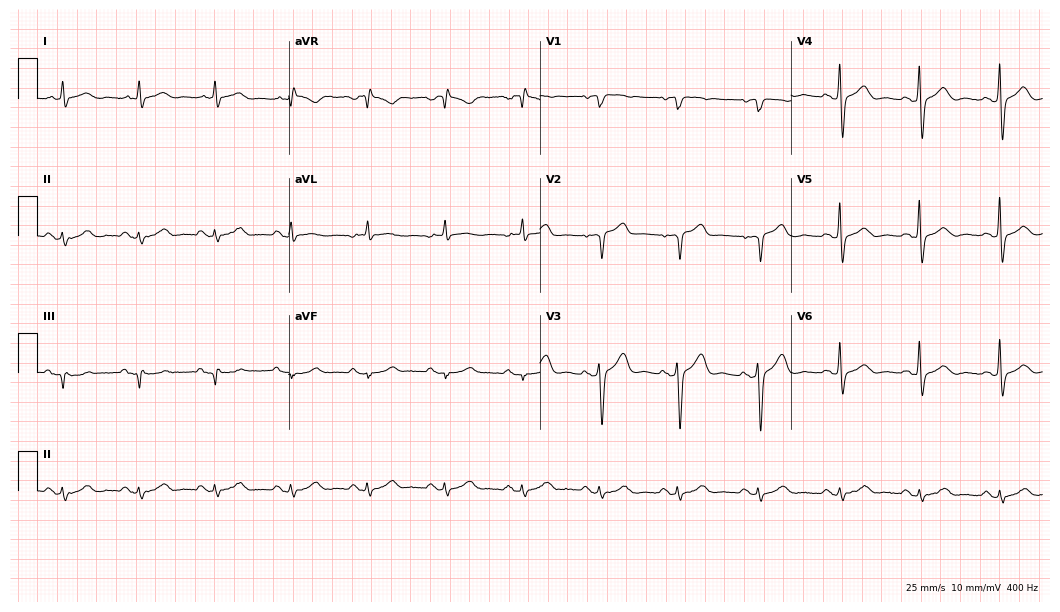
Standard 12-lead ECG recorded from an 82-year-old female patient (10.2-second recording at 400 Hz). None of these six findings is recorded: first-degree AV block, right bundle branch block, left bundle branch block, sinus bradycardia, atrial fibrillation, sinus tachycardia.